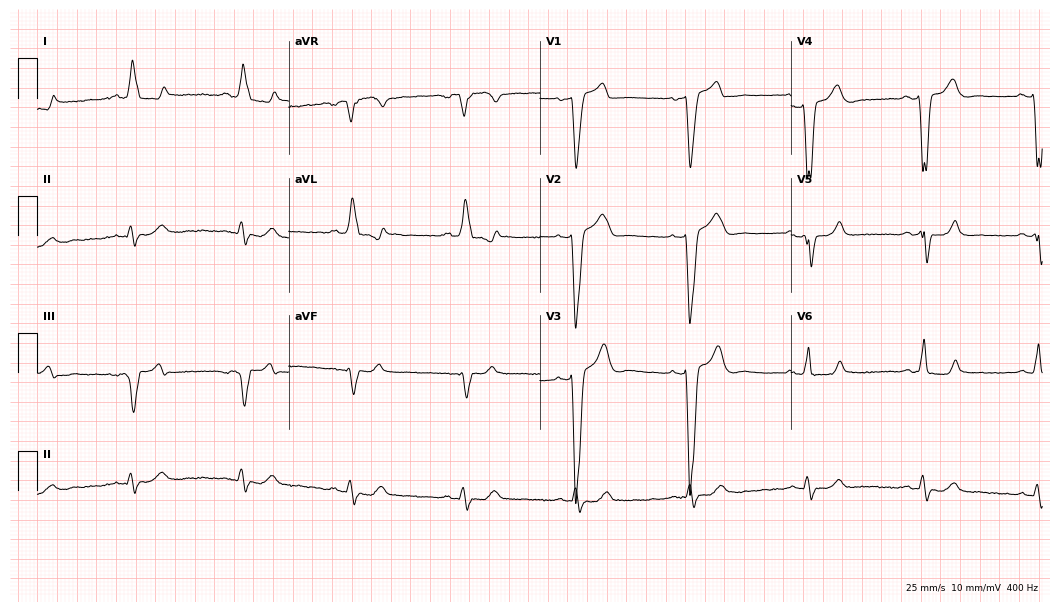
Standard 12-lead ECG recorded from a male, 57 years old. None of these six findings is recorded: first-degree AV block, right bundle branch block (RBBB), left bundle branch block (LBBB), sinus bradycardia, atrial fibrillation (AF), sinus tachycardia.